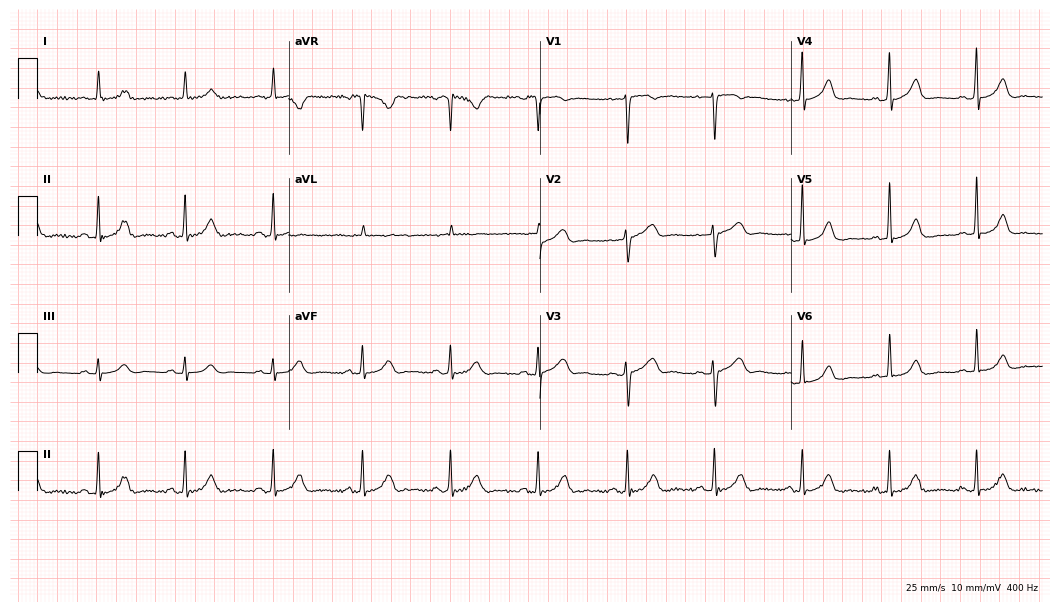
12-lead ECG from a female patient, 55 years old. No first-degree AV block, right bundle branch block, left bundle branch block, sinus bradycardia, atrial fibrillation or sinus tachycardia recorded for this tracing.